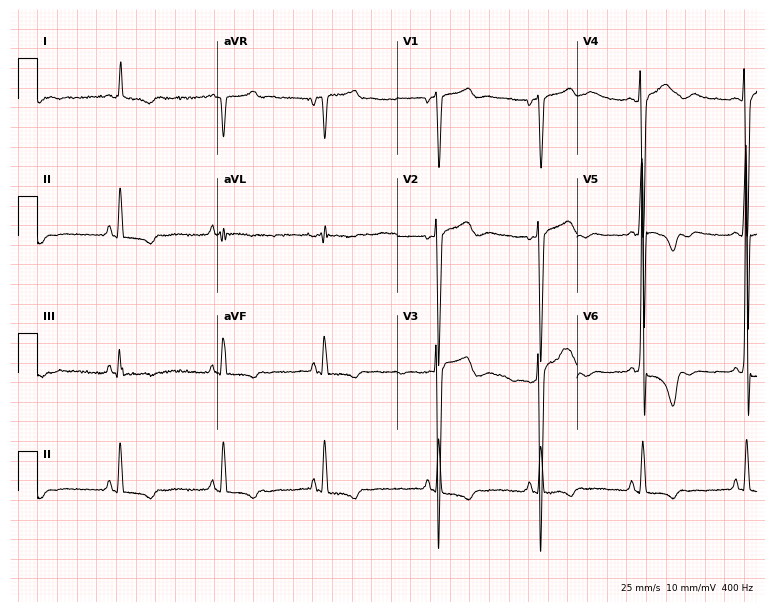
Standard 12-lead ECG recorded from an 88-year-old male. None of these six findings is recorded: first-degree AV block, right bundle branch block, left bundle branch block, sinus bradycardia, atrial fibrillation, sinus tachycardia.